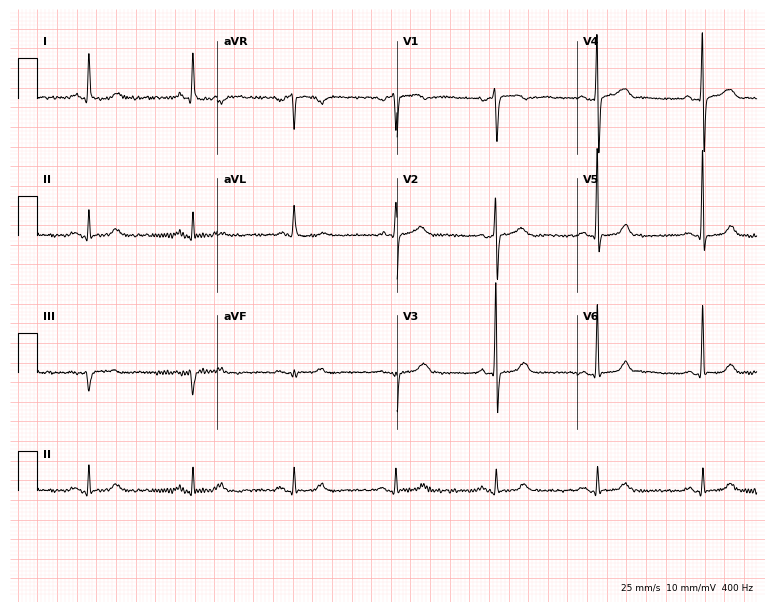
12-lead ECG (7.3-second recording at 400 Hz) from a 75-year-old male patient. Labelled as a normal ECG.